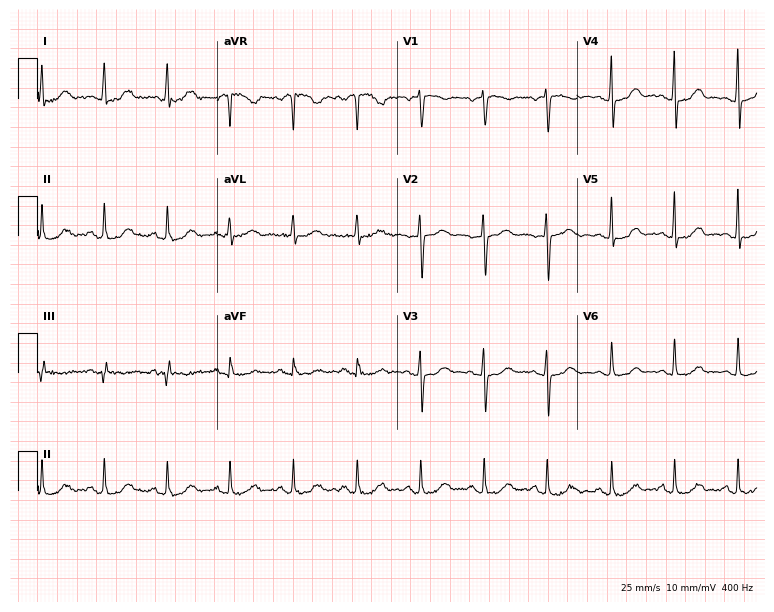
Electrocardiogram (7.3-second recording at 400 Hz), a 51-year-old female patient. Overall reading on record: normal ECG.